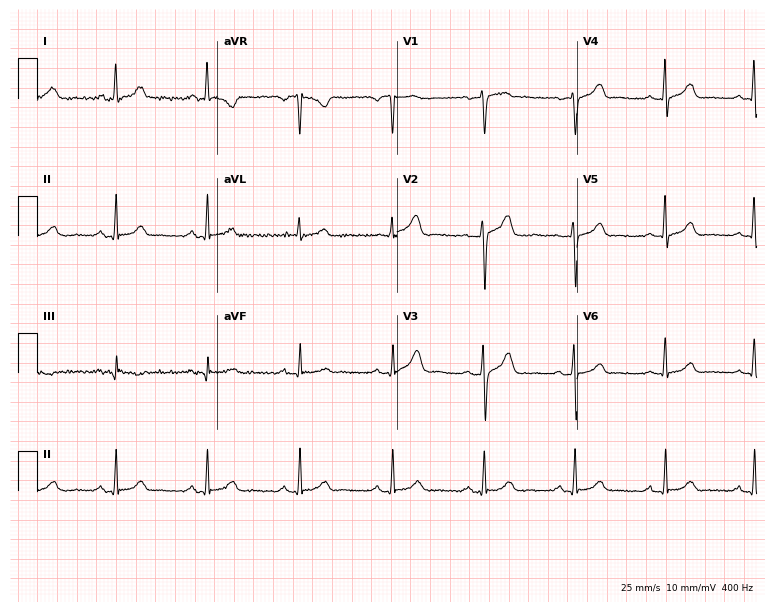
ECG (7.3-second recording at 400 Hz) — a 52-year-old woman. Labelled as a normal ECG.